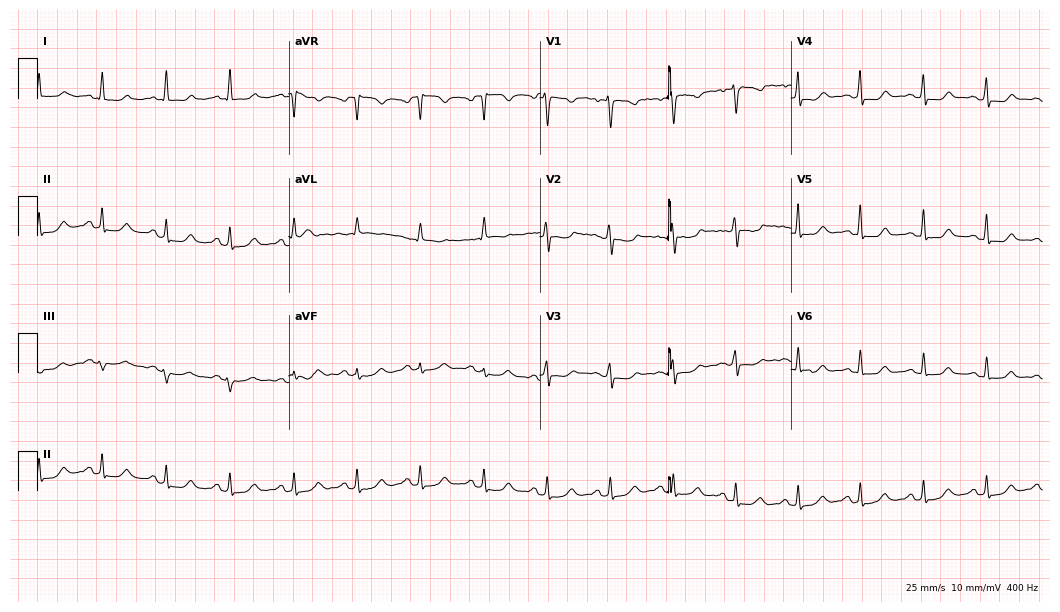
Standard 12-lead ECG recorded from a woman, 42 years old. Read as a normal ECG.